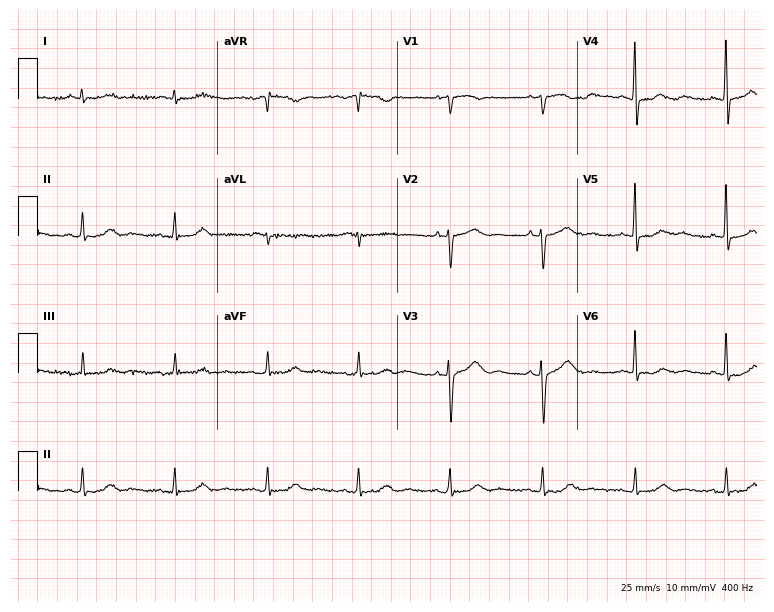
Resting 12-lead electrocardiogram (7.3-second recording at 400 Hz). Patient: a 70-year-old woman. None of these six findings is recorded: first-degree AV block, right bundle branch block, left bundle branch block, sinus bradycardia, atrial fibrillation, sinus tachycardia. Other findings, if any, are not listed.